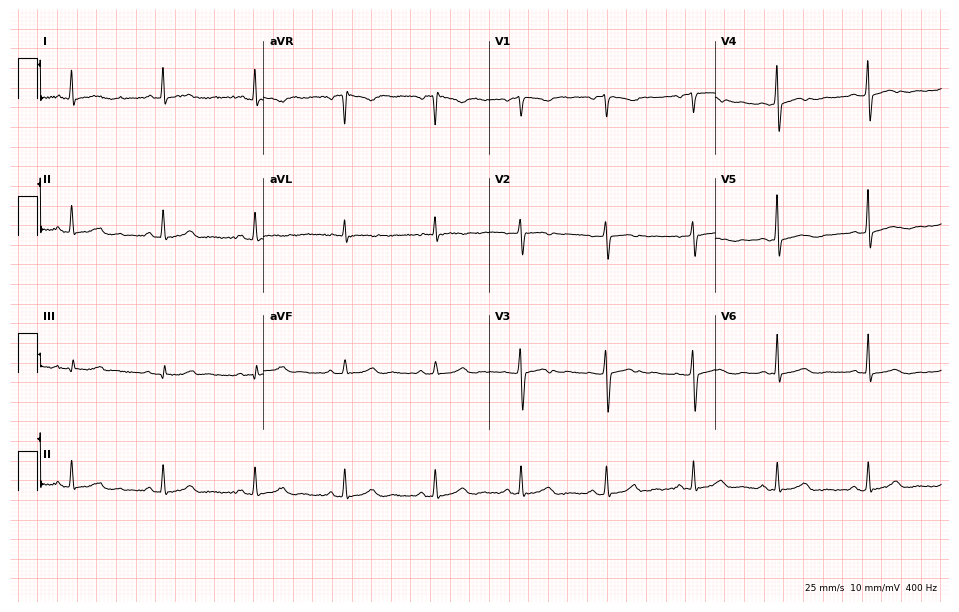
Standard 12-lead ECG recorded from a female, 36 years old. None of these six findings is recorded: first-degree AV block, right bundle branch block, left bundle branch block, sinus bradycardia, atrial fibrillation, sinus tachycardia.